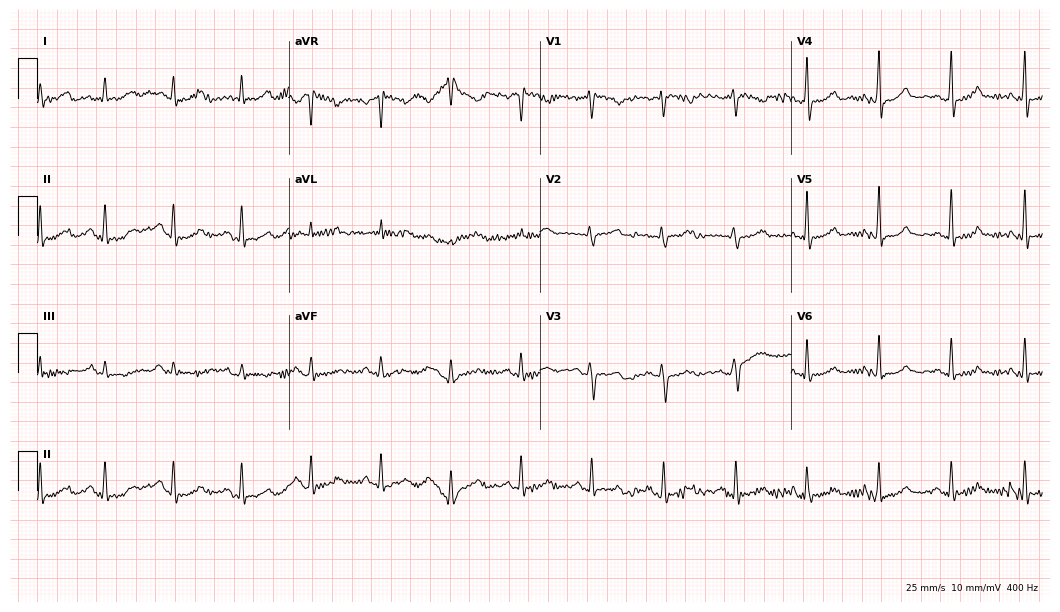
Resting 12-lead electrocardiogram (10.2-second recording at 400 Hz). Patient: a female, 53 years old. Read as a normal ECG.